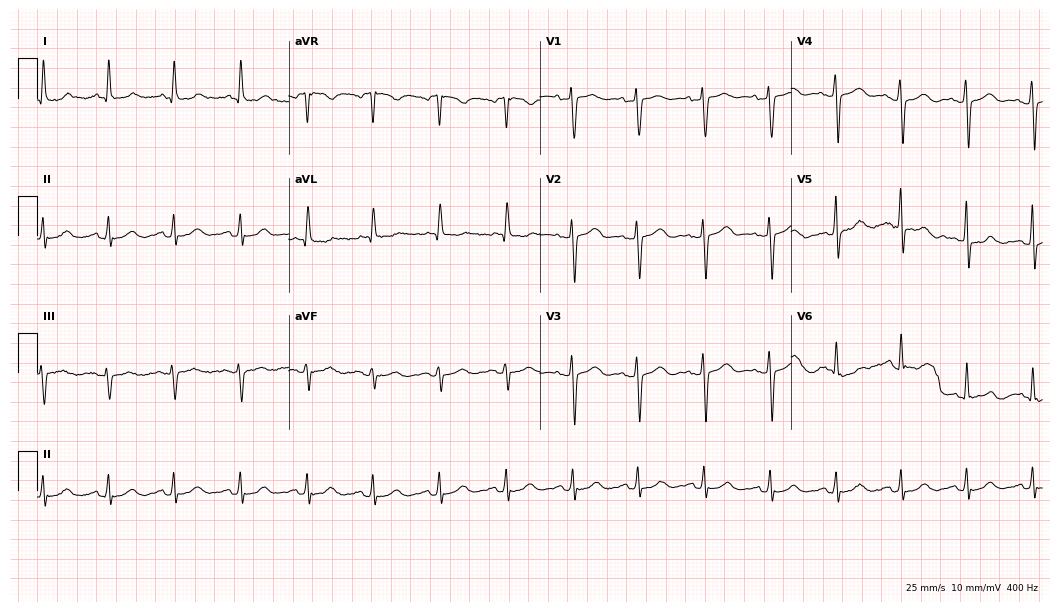
ECG (10.2-second recording at 400 Hz) — a female, 68 years old. Labelled as a normal ECG.